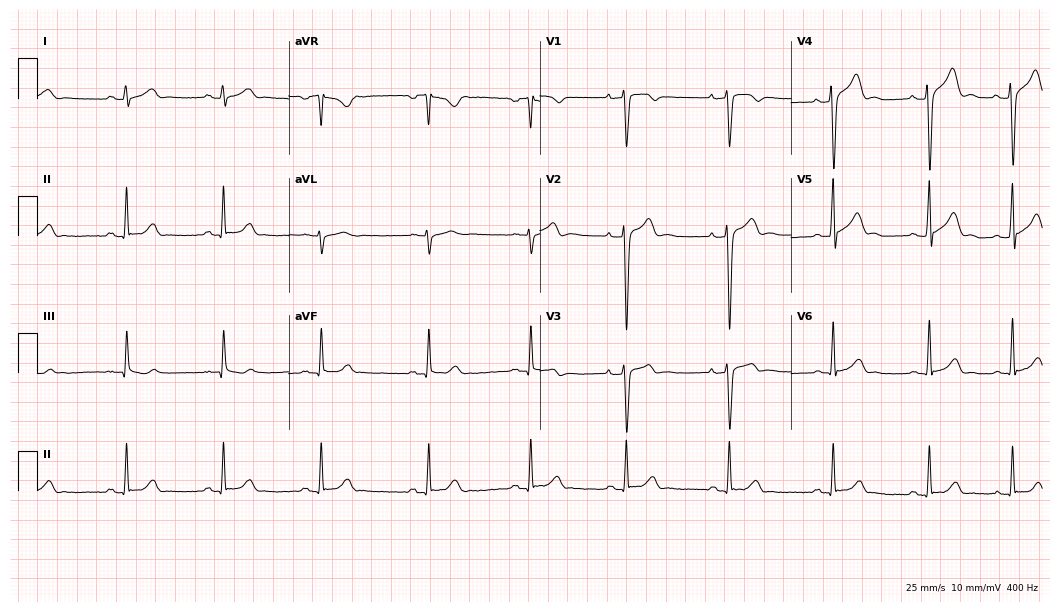
12-lead ECG from a man, 19 years old. Recorded interpretation: within normal limits.